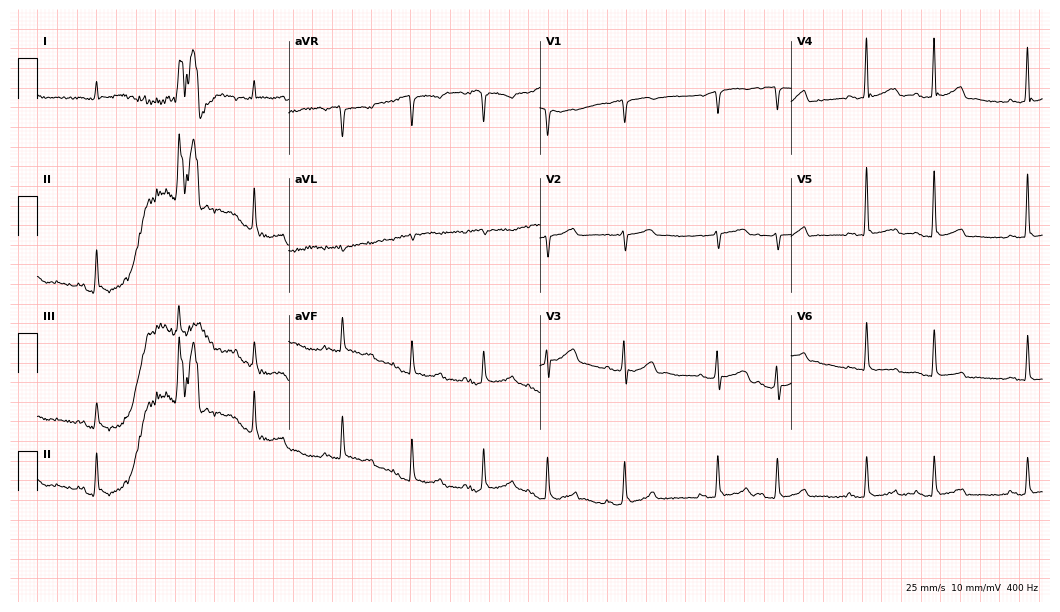
Electrocardiogram, a male, 79 years old. Of the six screened findings (first-degree AV block, right bundle branch block, left bundle branch block, sinus bradycardia, atrial fibrillation, sinus tachycardia), none is recorded.